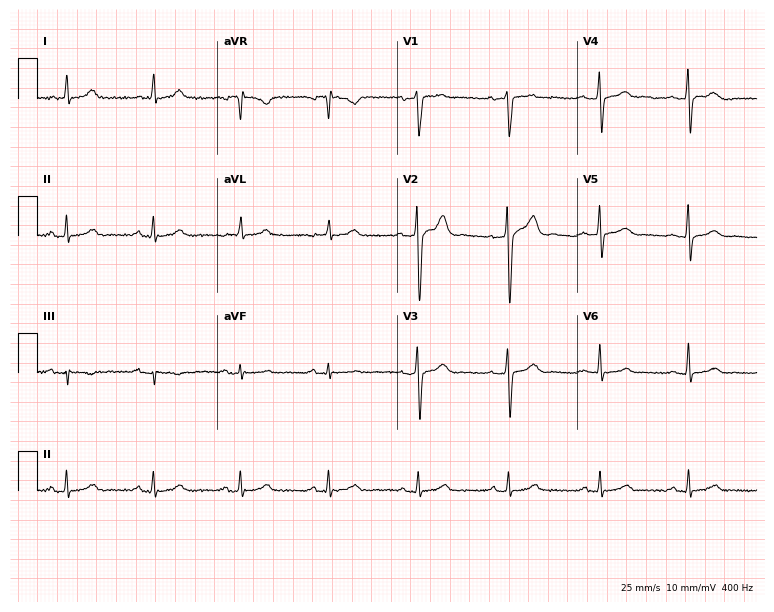
Resting 12-lead electrocardiogram (7.3-second recording at 400 Hz). Patient: a 28-year-old man. Read as a normal ECG.